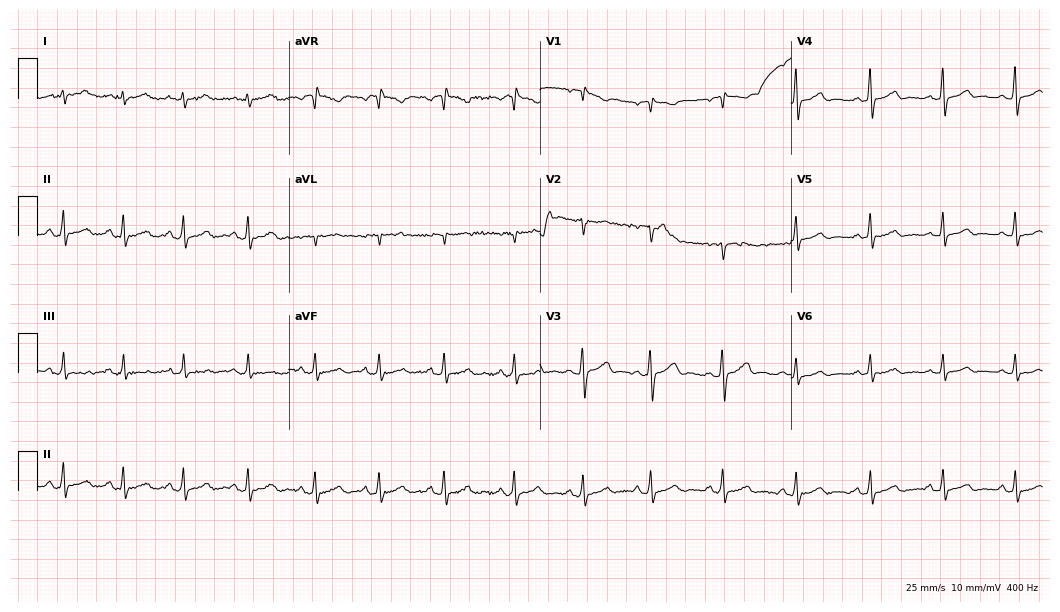
12-lead ECG from a 28-year-old woman (10.2-second recording at 400 Hz). No first-degree AV block, right bundle branch block, left bundle branch block, sinus bradycardia, atrial fibrillation or sinus tachycardia recorded for this tracing. Other findings, if any, are not listed.